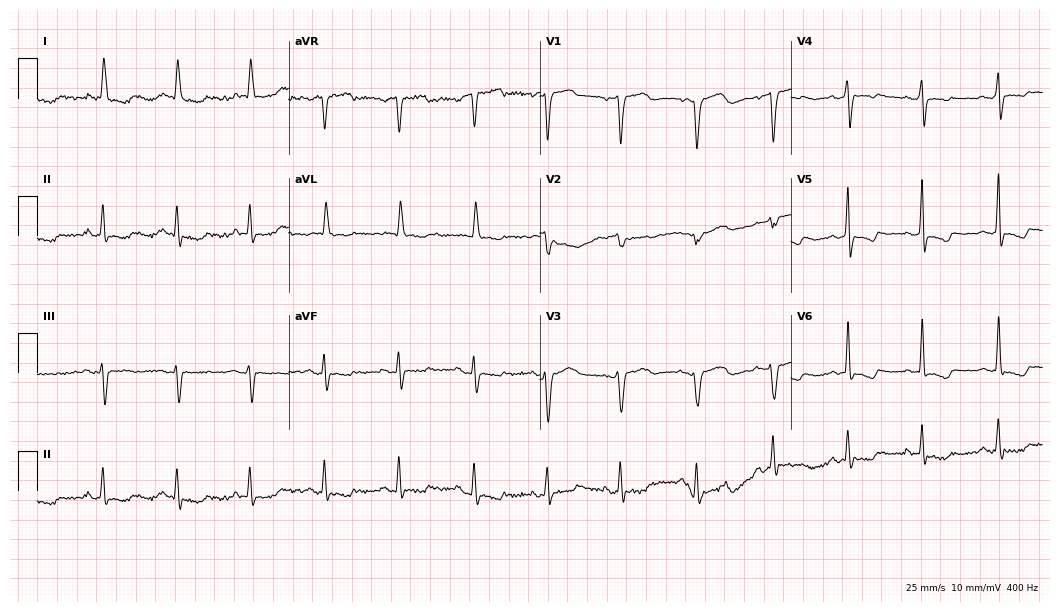
Electrocardiogram, a female, 72 years old. Of the six screened findings (first-degree AV block, right bundle branch block, left bundle branch block, sinus bradycardia, atrial fibrillation, sinus tachycardia), none is recorded. Other findings, if any, are not listed.